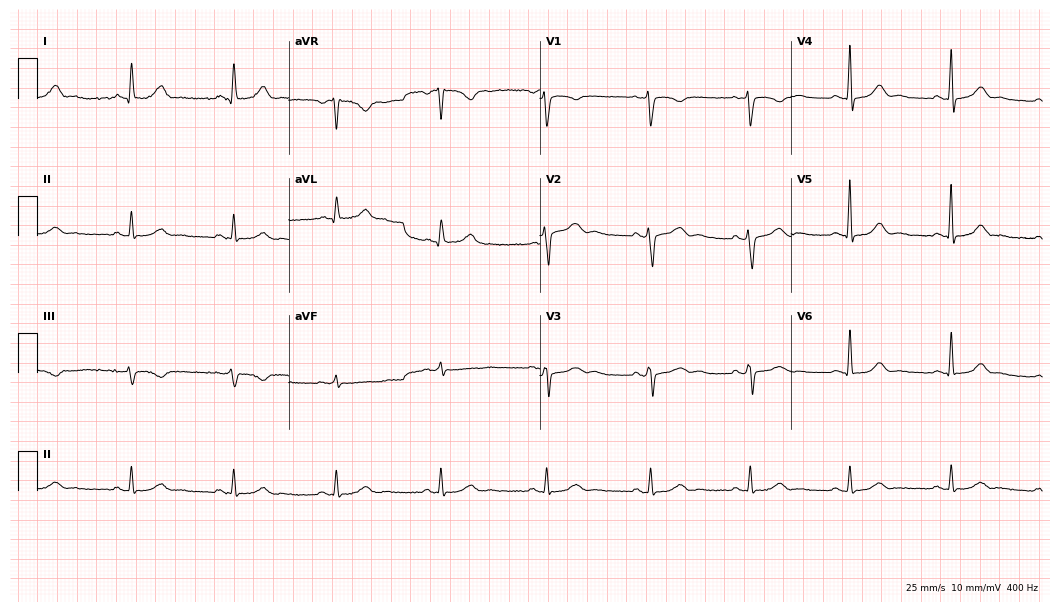
ECG — a 51-year-old male. Labelled as a normal ECG.